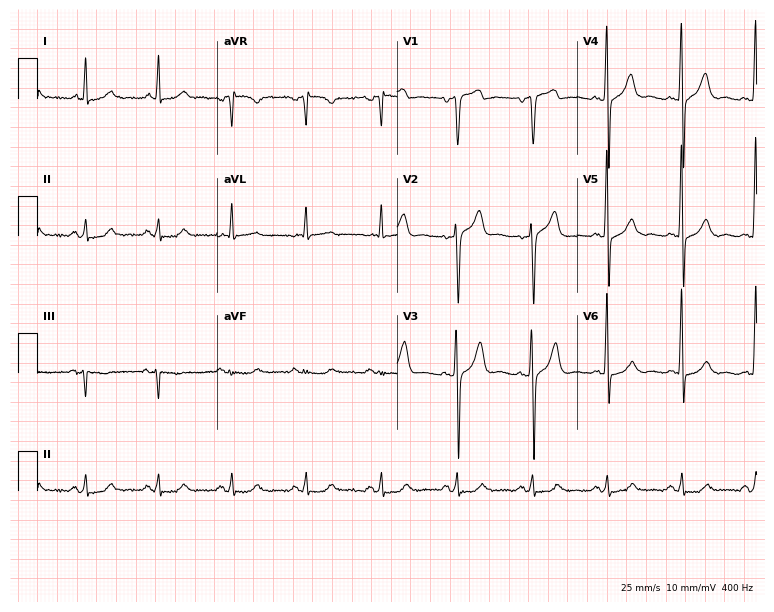
Electrocardiogram, a 64-year-old man. Overall reading on record: normal ECG.